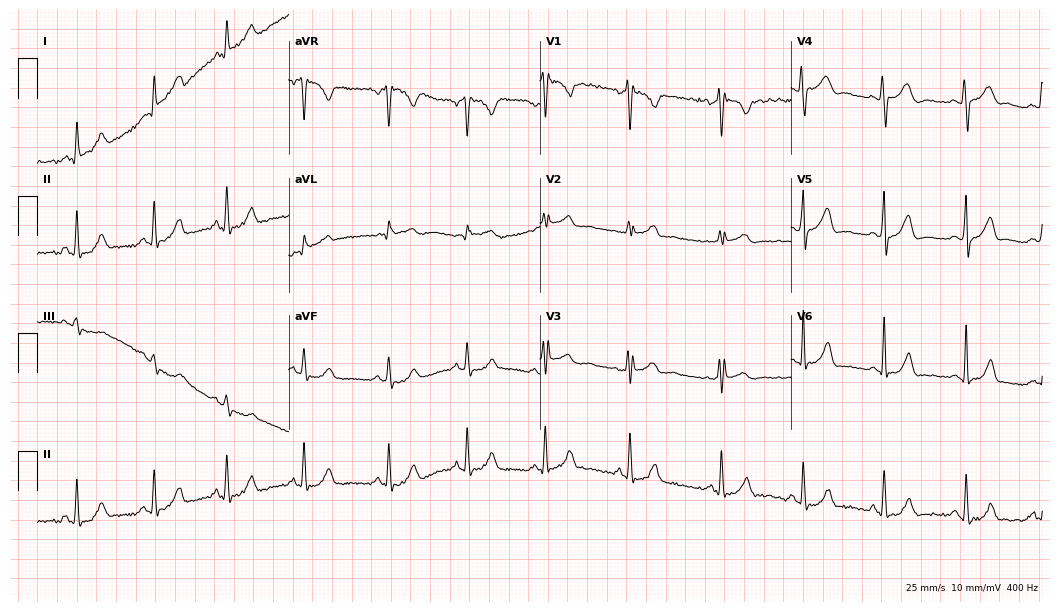
Electrocardiogram, a female, 30 years old. Of the six screened findings (first-degree AV block, right bundle branch block, left bundle branch block, sinus bradycardia, atrial fibrillation, sinus tachycardia), none is recorded. Findings outside these six are not listed.